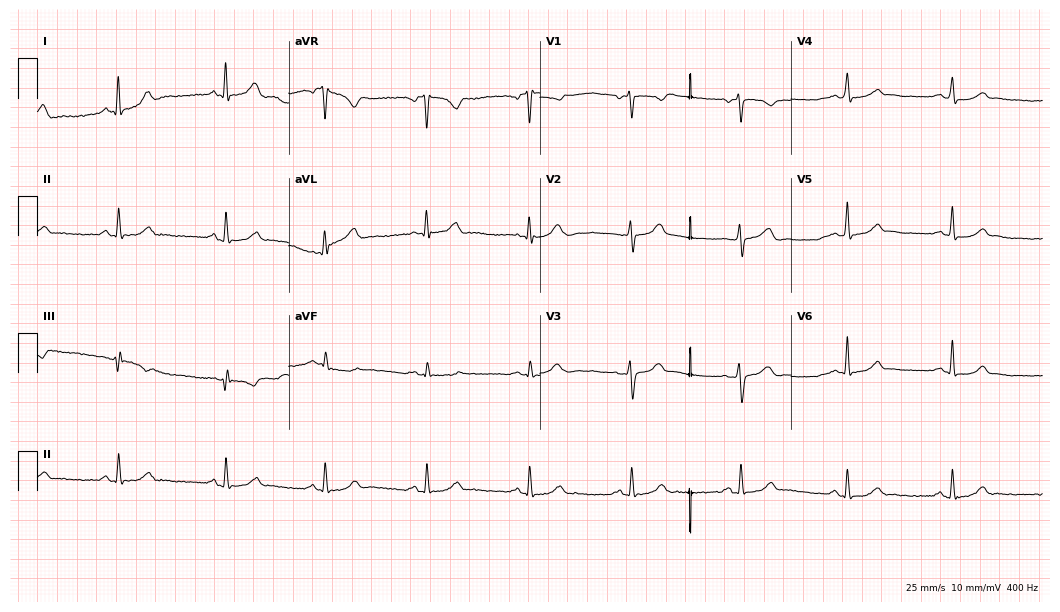
12-lead ECG from a 30-year-old woman (10.2-second recording at 400 Hz). No first-degree AV block, right bundle branch block, left bundle branch block, sinus bradycardia, atrial fibrillation or sinus tachycardia recorded for this tracing. Other findings, if any, are not listed.